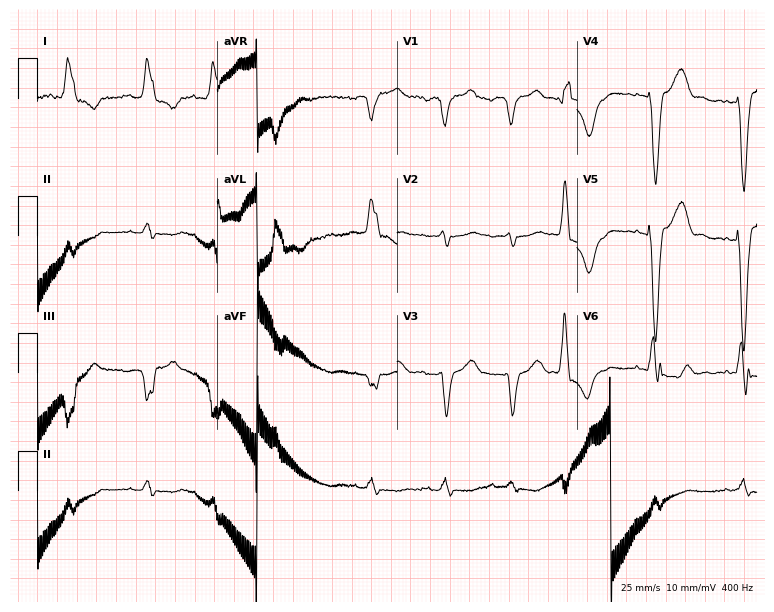
Resting 12-lead electrocardiogram (7.3-second recording at 400 Hz). Patient: a female, 78 years old. None of these six findings is recorded: first-degree AV block, right bundle branch block, left bundle branch block, sinus bradycardia, atrial fibrillation, sinus tachycardia.